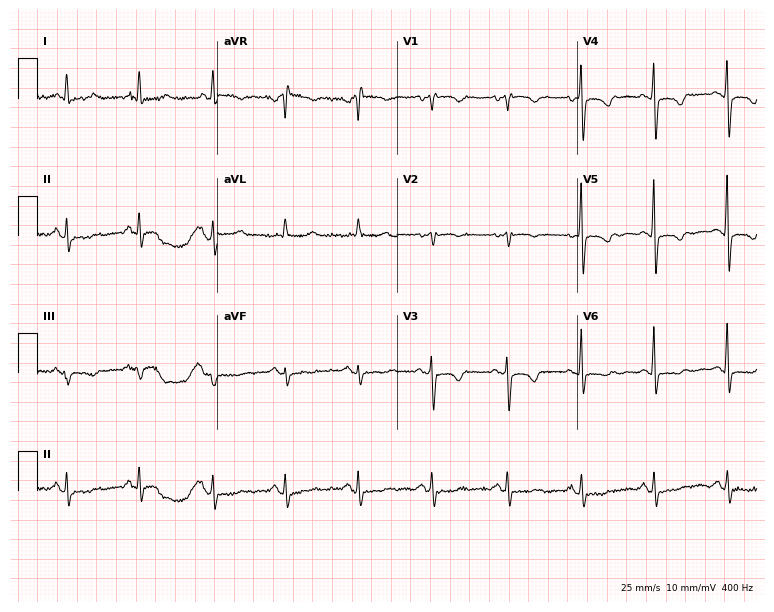
Resting 12-lead electrocardiogram. Patient: a woman, 64 years old. None of these six findings is recorded: first-degree AV block, right bundle branch block, left bundle branch block, sinus bradycardia, atrial fibrillation, sinus tachycardia. Only these six findings were labelled.